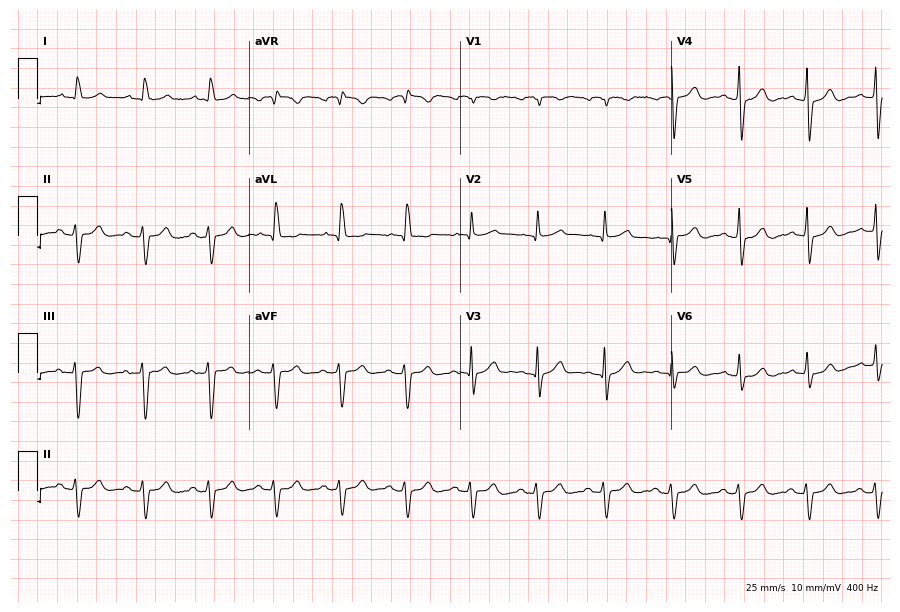
12-lead ECG from a man, 71 years old. Screened for six findings — first-degree AV block, right bundle branch block, left bundle branch block, sinus bradycardia, atrial fibrillation, sinus tachycardia — none is recorded. Other findings, if any, are not listed.